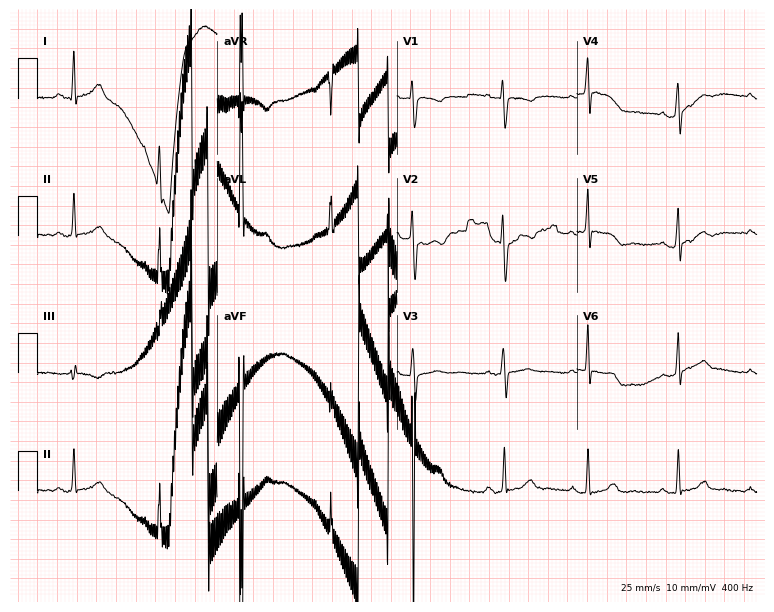
Electrocardiogram, a 32-year-old woman. Overall reading on record: normal ECG.